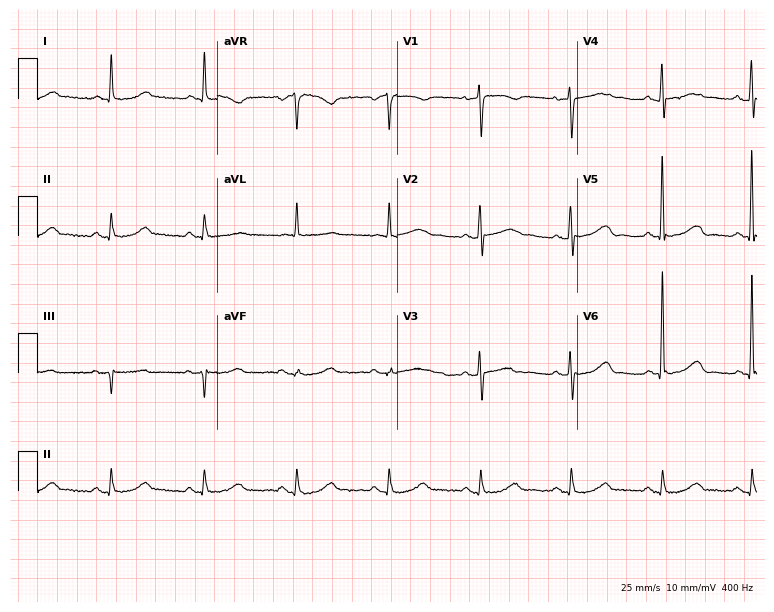
Electrocardiogram (7.3-second recording at 400 Hz), a female, 65 years old. Overall reading on record: normal ECG.